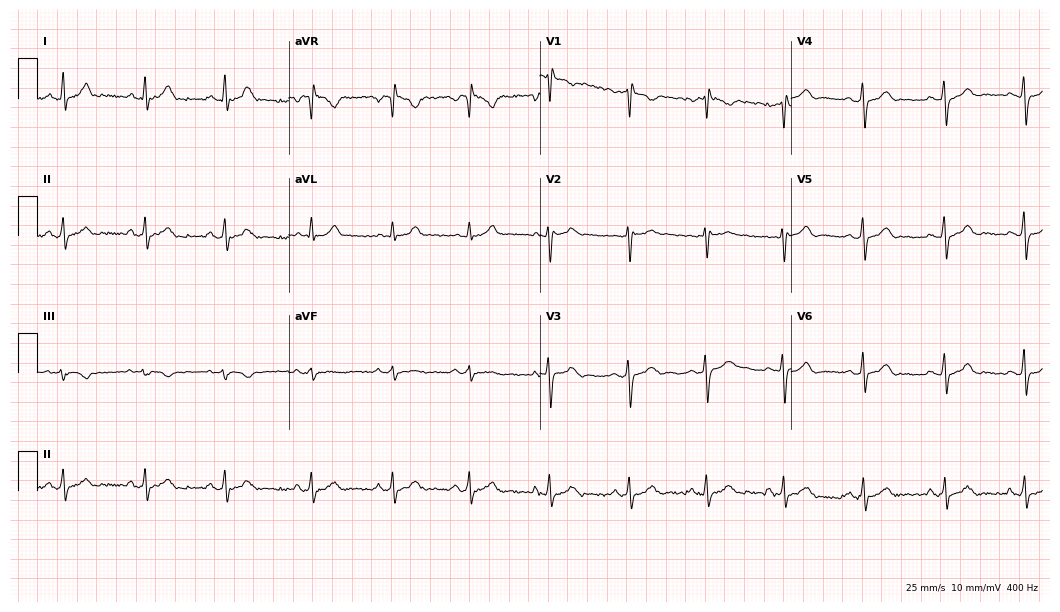
12-lead ECG from a male, 30 years old (10.2-second recording at 400 Hz). Recorded interpretation: within normal limits.